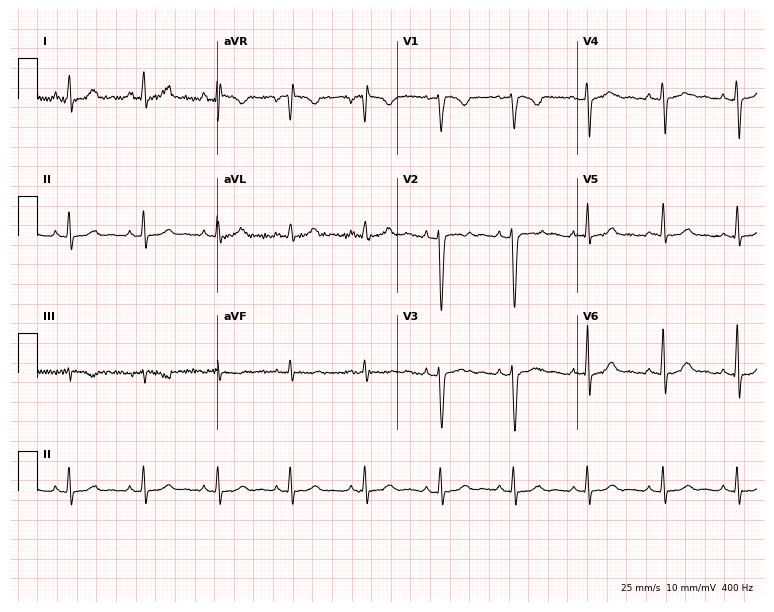
Resting 12-lead electrocardiogram (7.3-second recording at 400 Hz). Patient: a woman, 29 years old. Read as a normal ECG.